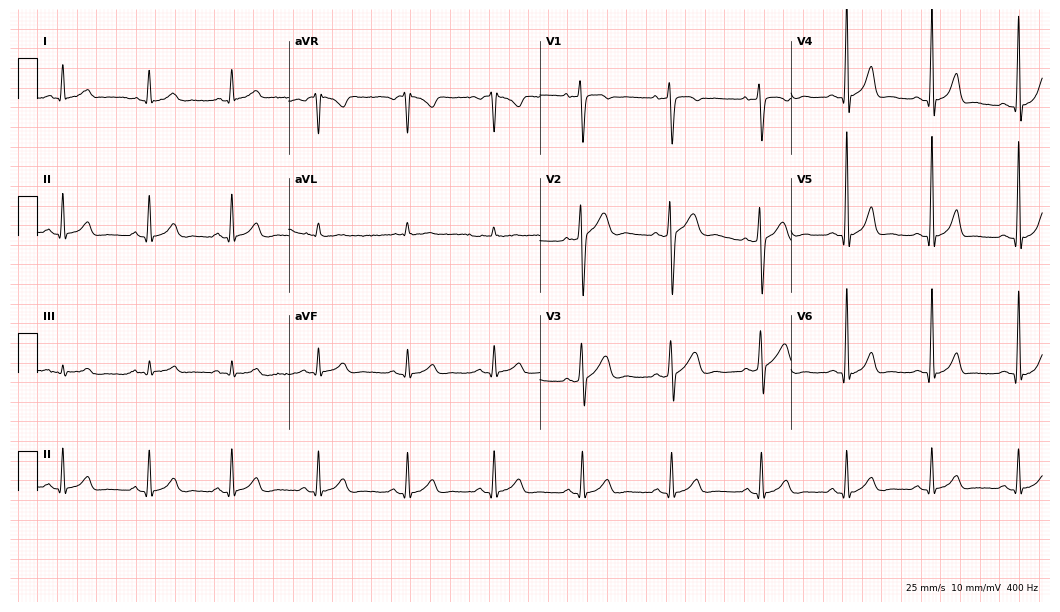
12-lead ECG from a 30-year-old man (10.2-second recording at 400 Hz). Recorded interpretation: within normal limits.